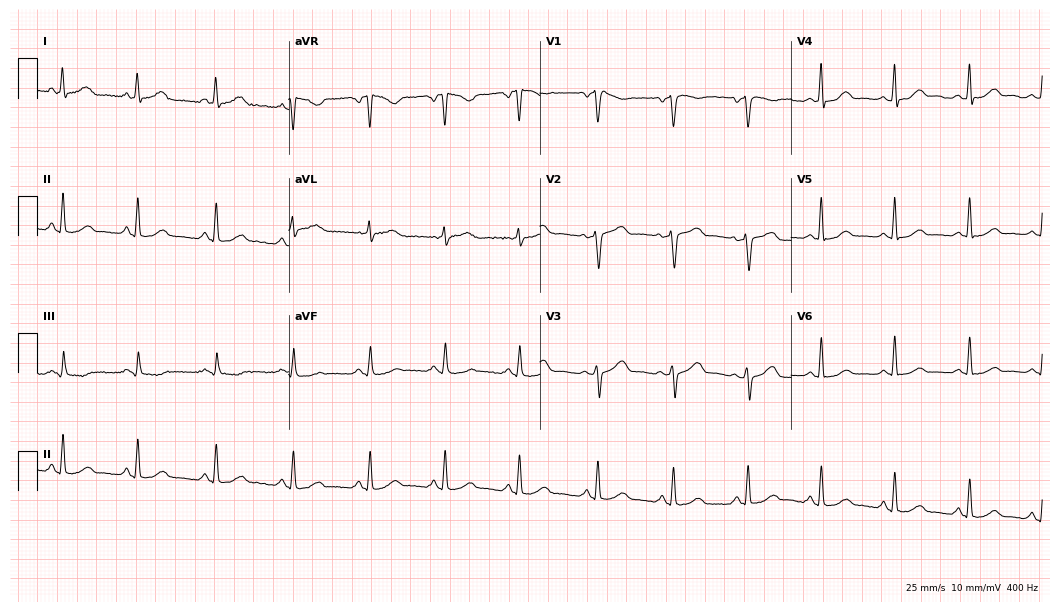
12-lead ECG (10.2-second recording at 400 Hz) from a woman, 47 years old. Labelled as a normal ECG.